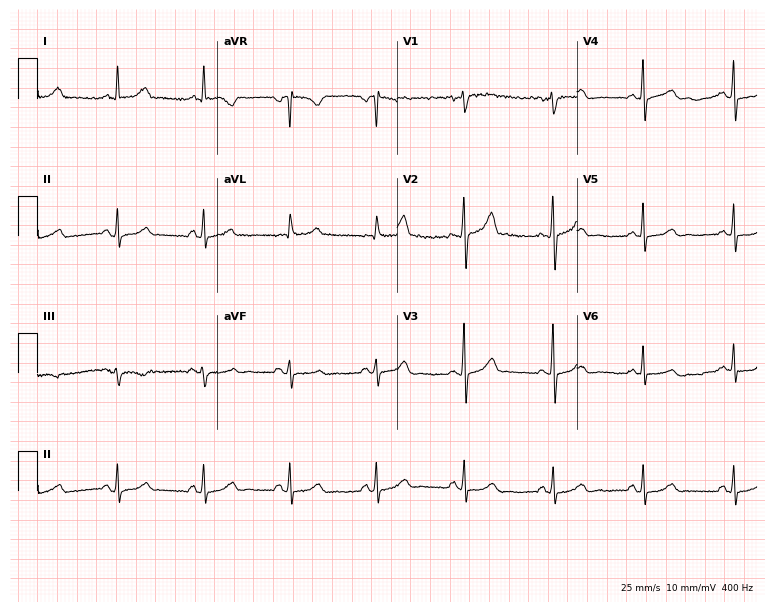
Electrocardiogram (7.3-second recording at 400 Hz), a 56-year-old male. Overall reading on record: normal ECG.